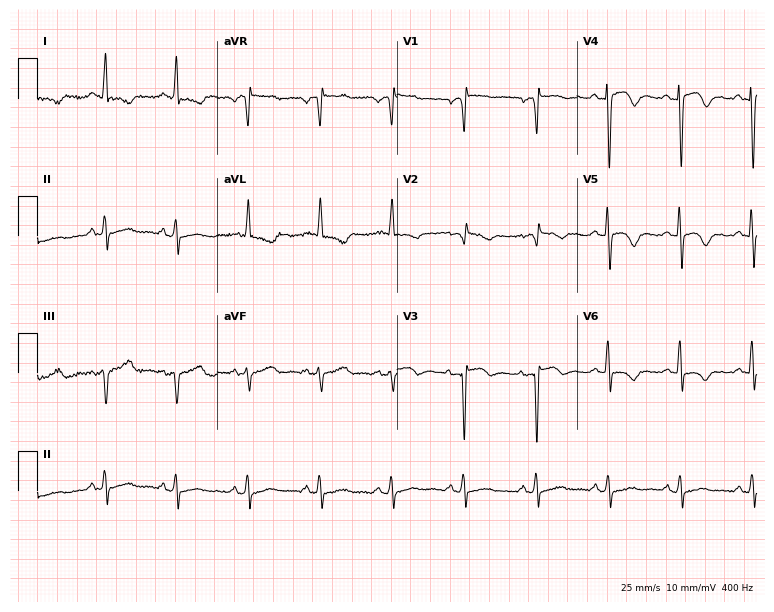
12-lead ECG from a female, 78 years old. Screened for six findings — first-degree AV block, right bundle branch block, left bundle branch block, sinus bradycardia, atrial fibrillation, sinus tachycardia — none is recorded.